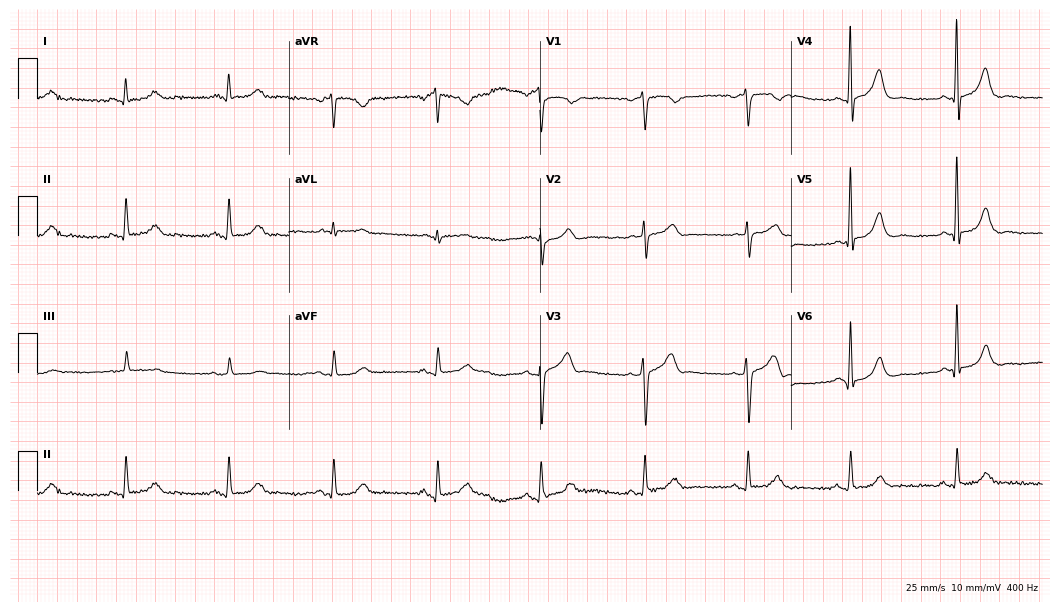
12-lead ECG from a 68-year-old man (10.2-second recording at 400 Hz). Recorded interpretation: within normal limits.